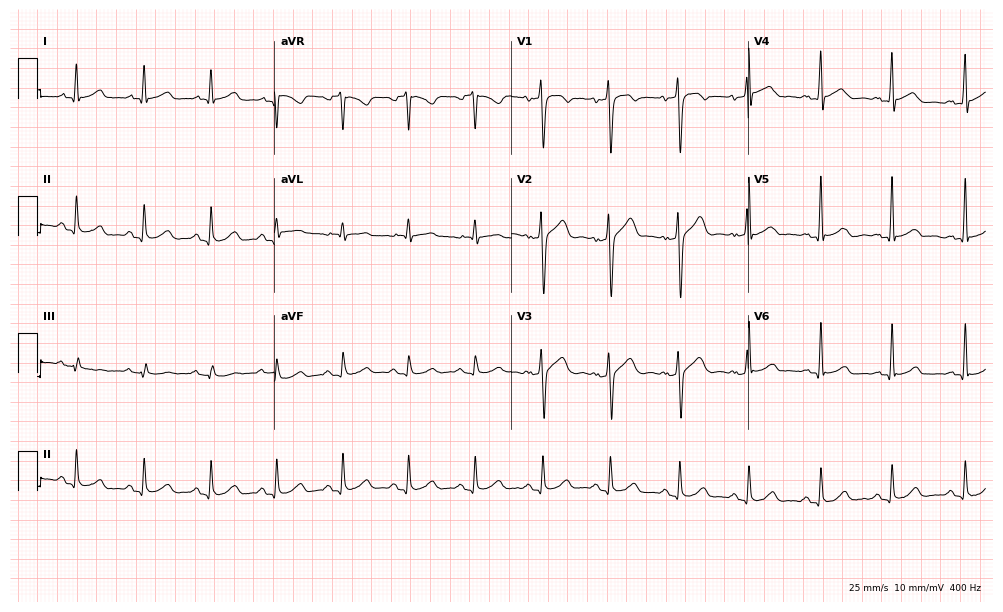
ECG — a male patient, 42 years old. Labelled as a normal ECG.